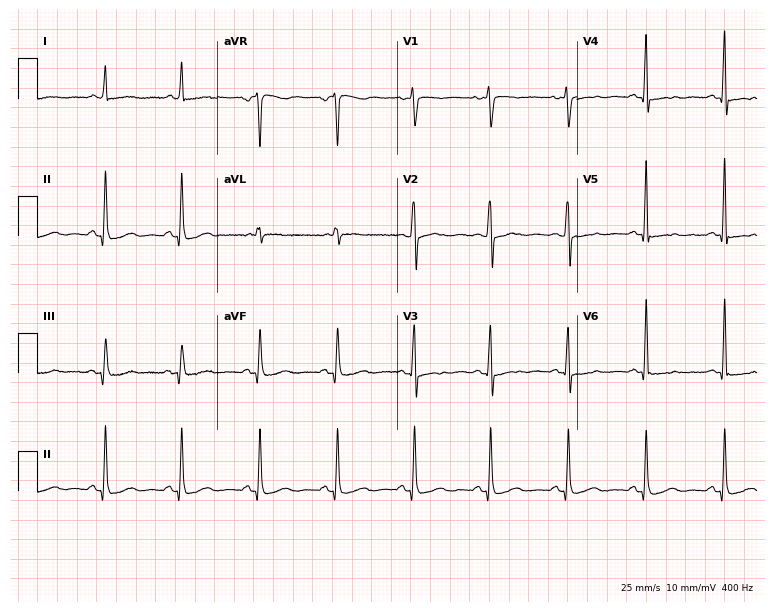
Standard 12-lead ECG recorded from a female patient, 49 years old (7.3-second recording at 400 Hz). Read as a normal ECG.